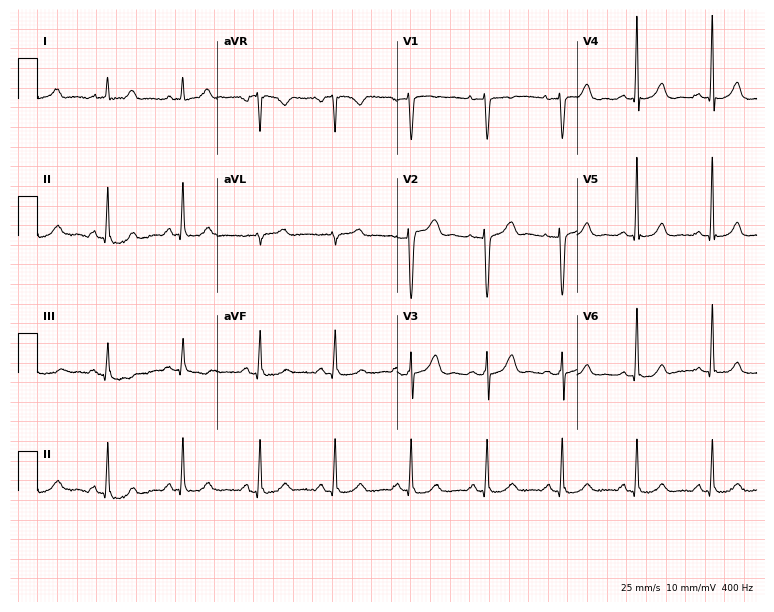
12-lead ECG from a 46-year-old female patient (7.3-second recording at 400 Hz). Recorded interpretation: within normal limits.